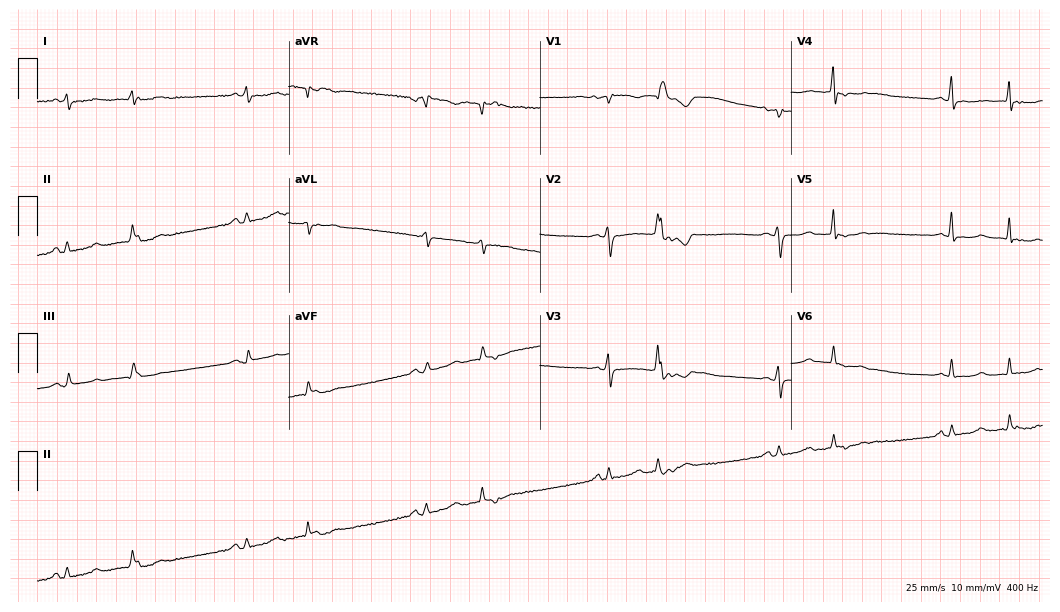
Electrocardiogram (10.2-second recording at 400 Hz), a 38-year-old female. Of the six screened findings (first-degree AV block, right bundle branch block, left bundle branch block, sinus bradycardia, atrial fibrillation, sinus tachycardia), none is recorded. Findings outside these six are not listed.